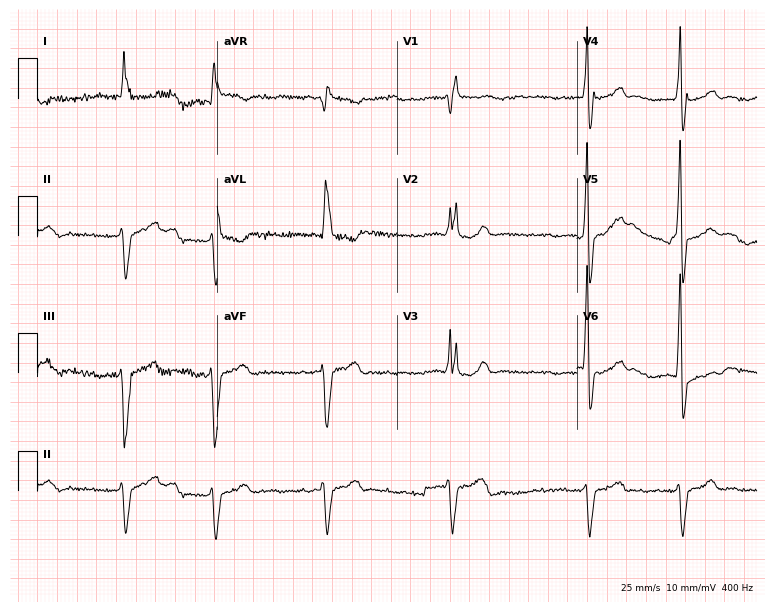
12-lead ECG from a woman, 83 years old (7.3-second recording at 400 Hz). Shows right bundle branch block (RBBB).